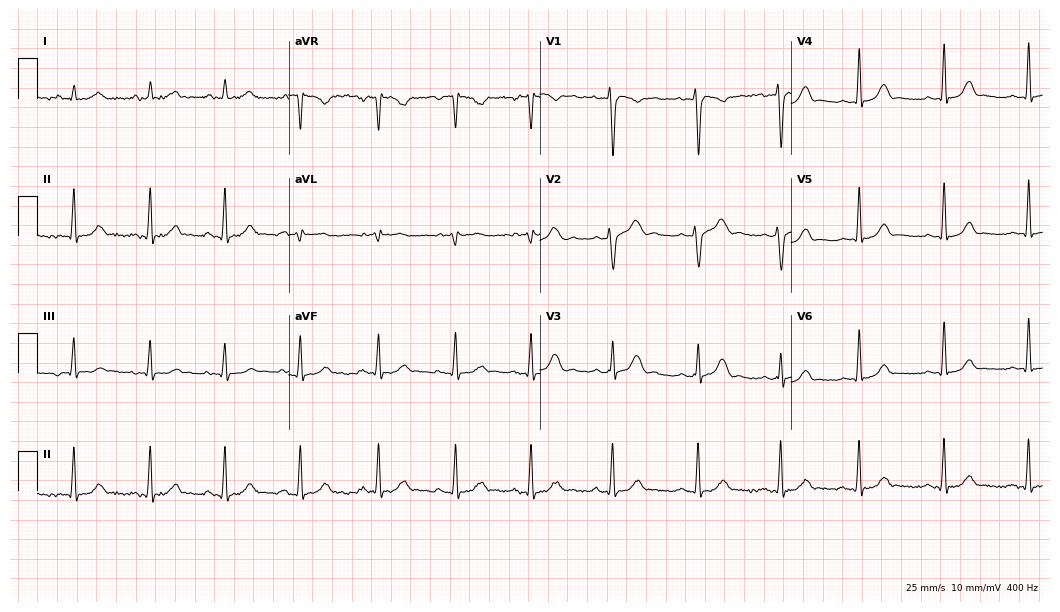
12-lead ECG from a female patient, 28 years old. Labelled as a normal ECG.